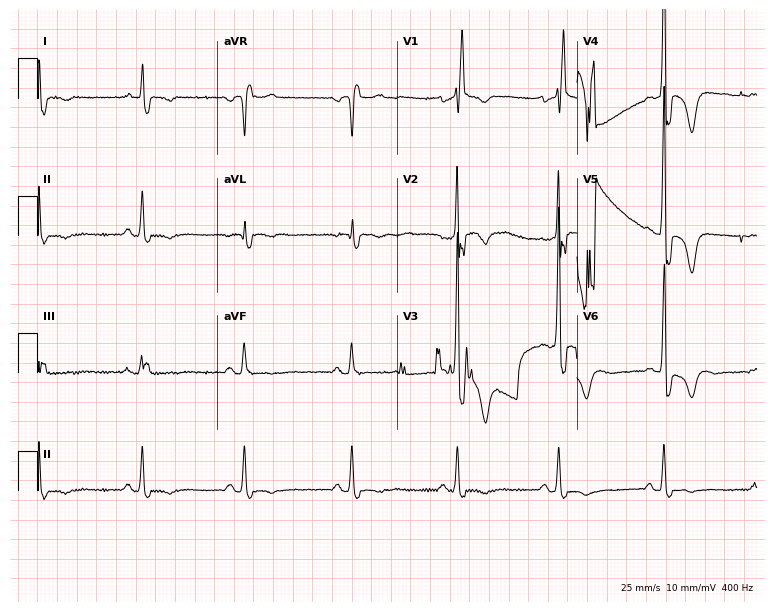
ECG (7.3-second recording at 400 Hz) — a man, 73 years old. Findings include right bundle branch block.